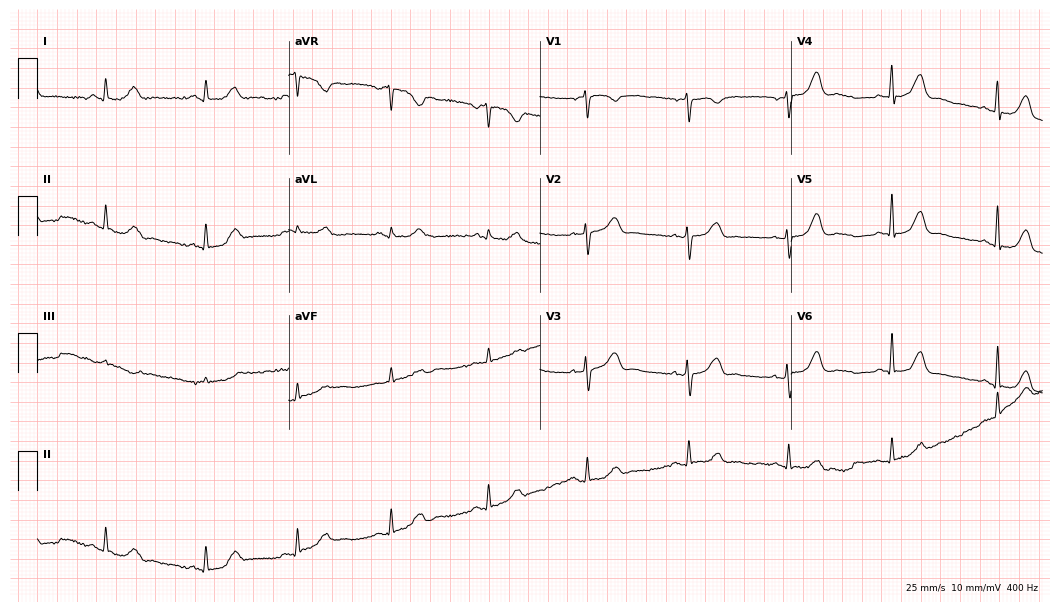
12-lead ECG from a female, 53 years old (10.2-second recording at 400 Hz). Recorded interpretation: within normal limits.